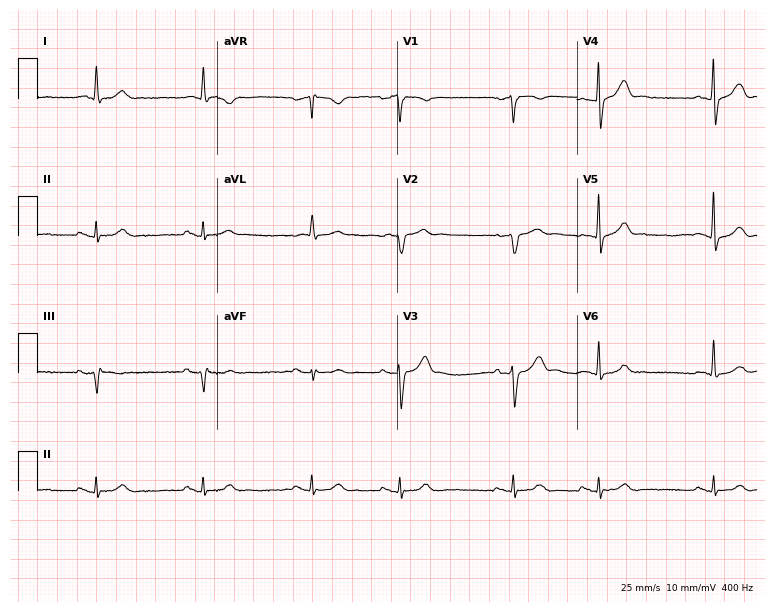
Resting 12-lead electrocardiogram. Patient: a 63-year-old man. None of these six findings is recorded: first-degree AV block, right bundle branch block (RBBB), left bundle branch block (LBBB), sinus bradycardia, atrial fibrillation (AF), sinus tachycardia. Other findings, if any, are not listed.